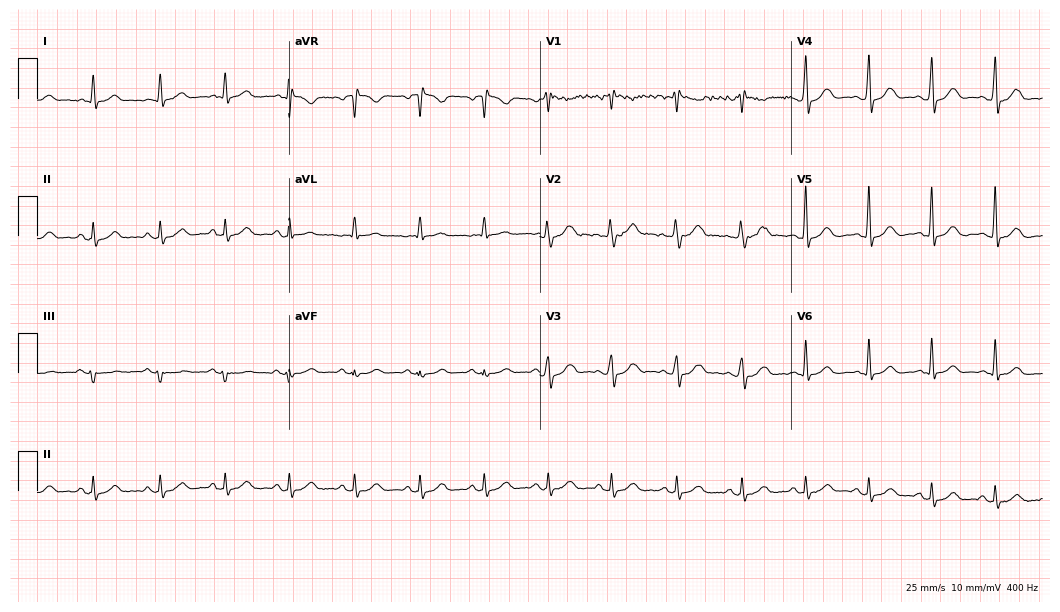
Electrocardiogram (10.2-second recording at 400 Hz), a 56-year-old male. Overall reading on record: normal ECG.